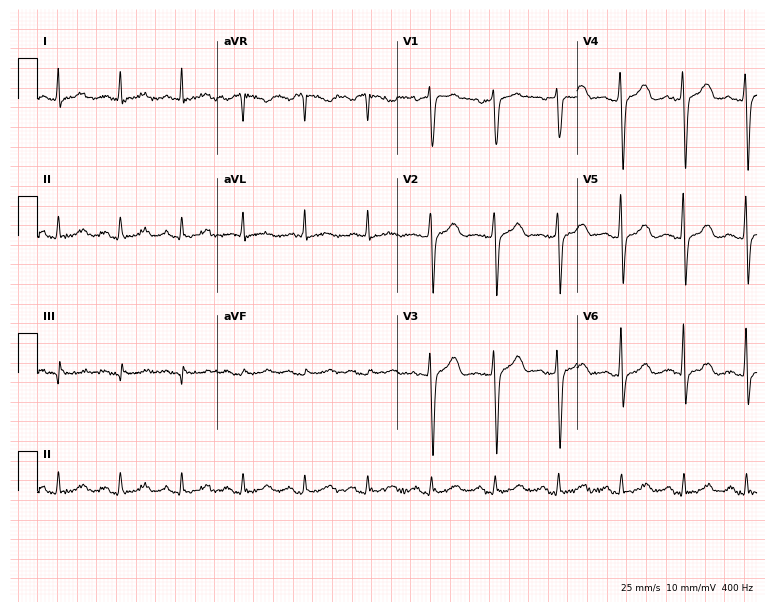
ECG — a 37-year-old man. Labelled as a normal ECG.